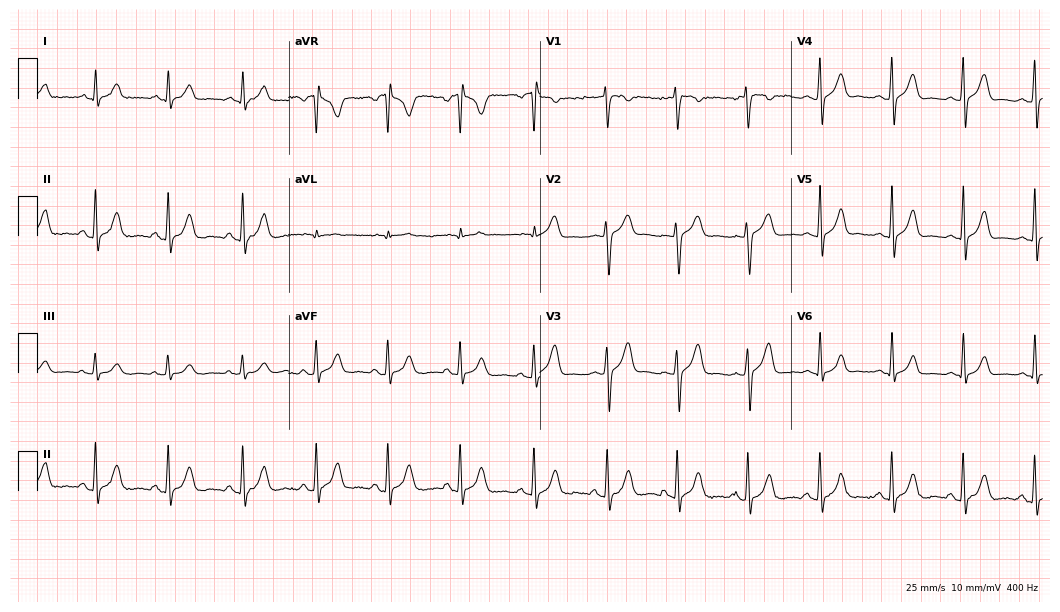
Standard 12-lead ECG recorded from a woman, 22 years old. None of these six findings is recorded: first-degree AV block, right bundle branch block, left bundle branch block, sinus bradycardia, atrial fibrillation, sinus tachycardia. Findings outside these six are not listed.